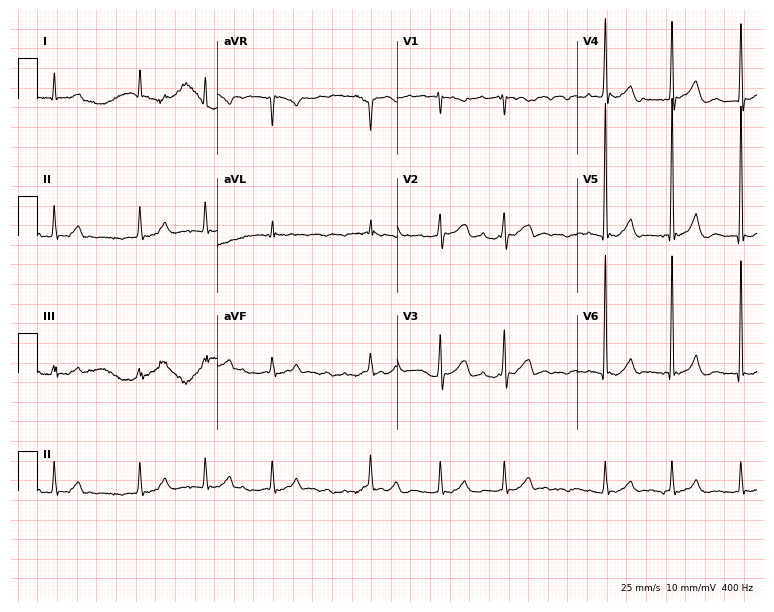
Standard 12-lead ECG recorded from a man, 79 years old. The tracing shows atrial fibrillation.